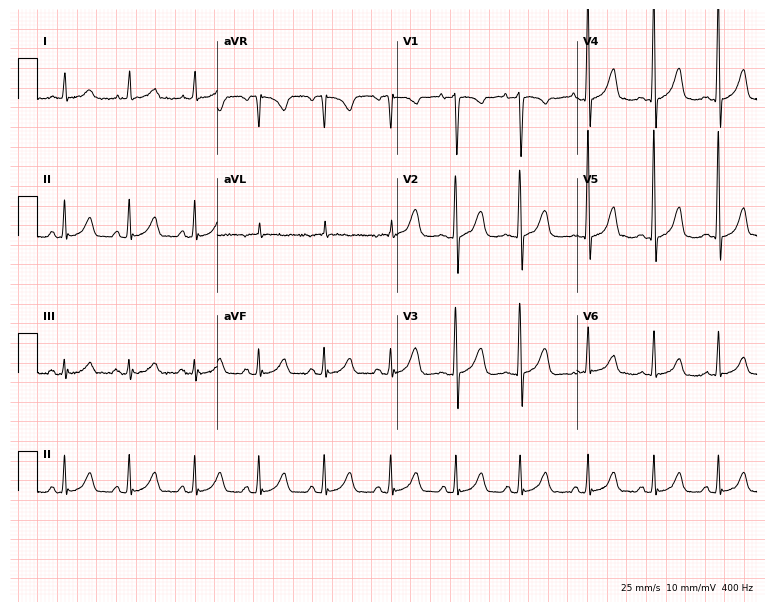
Resting 12-lead electrocardiogram (7.3-second recording at 400 Hz). Patient: a female, 50 years old. Read as a normal ECG.